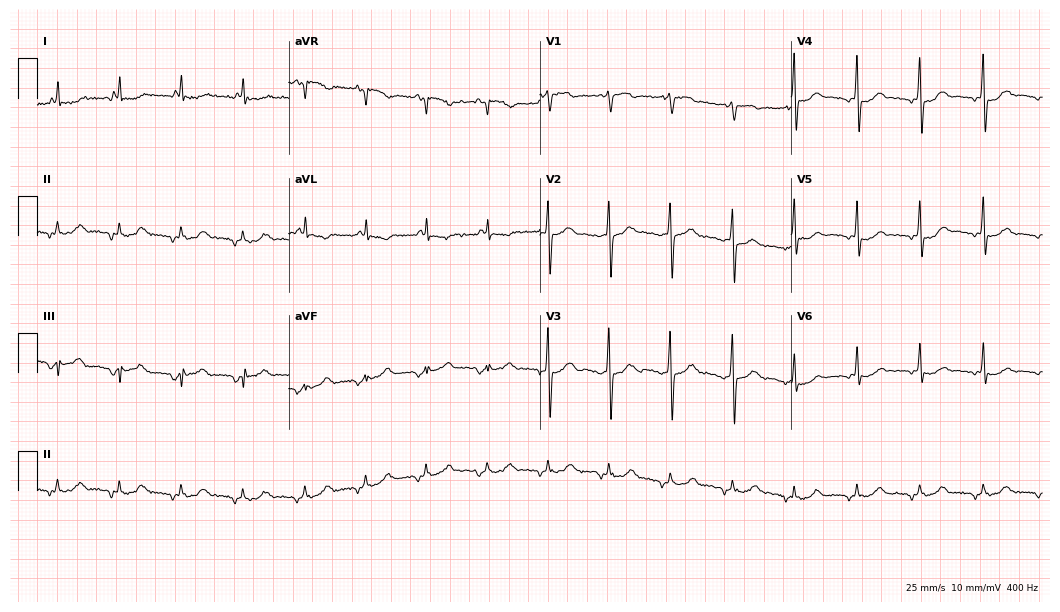
Electrocardiogram (10.2-second recording at 400 Hz), a male, 64 years old. Of the six screened findings (first-degree AV block, right bundle branch block, left bundle branch block, sinus bradycardia, atrial fibrillation, sinus tachycardia), none is recorded. Findings outside these six are not listed.